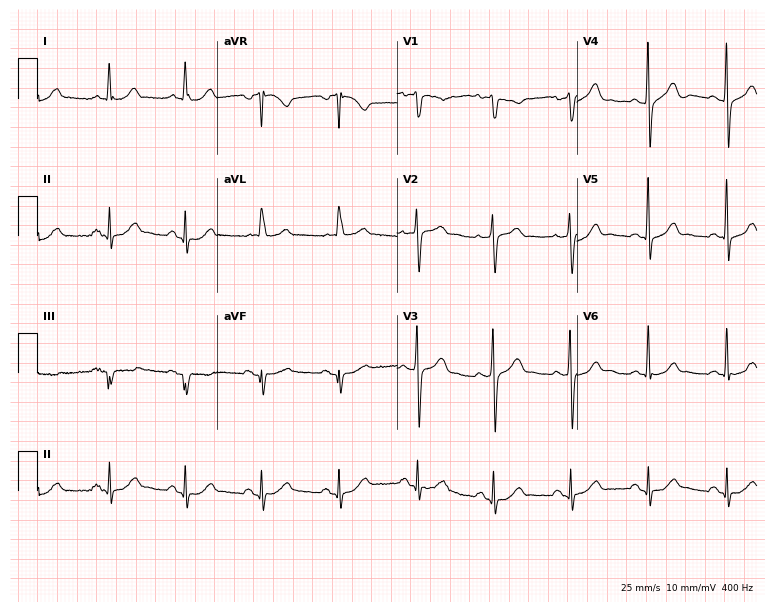
Resting 12-lead electrocardiogram. Patient: a 65-year-old man. Read as a normal ECG.